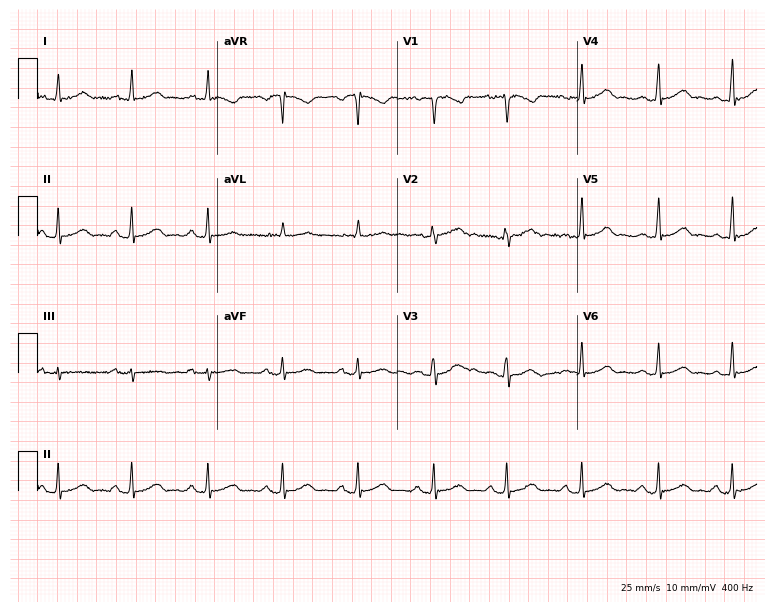
12-lead ECG from a female, 31 years old. Recorded interpretation: within normal limits.